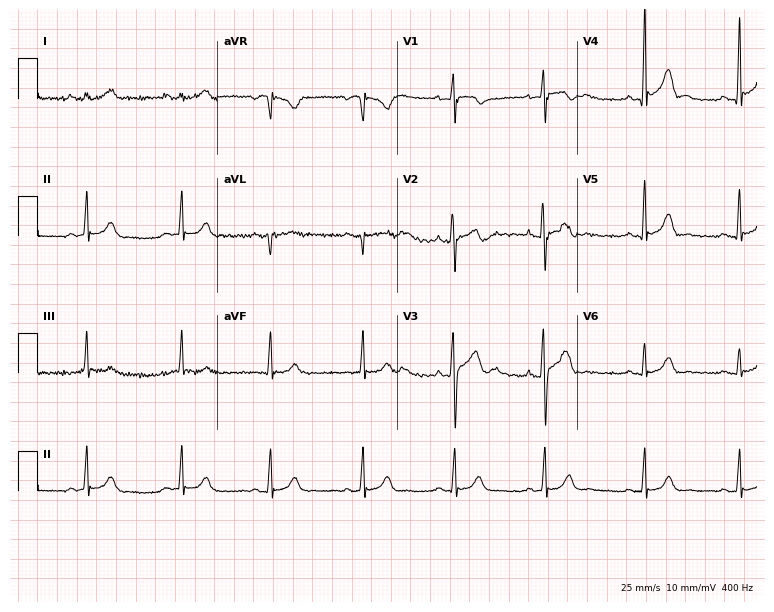
12-lead ECG from a man, 20 years old. Labelled as a normal ECG.